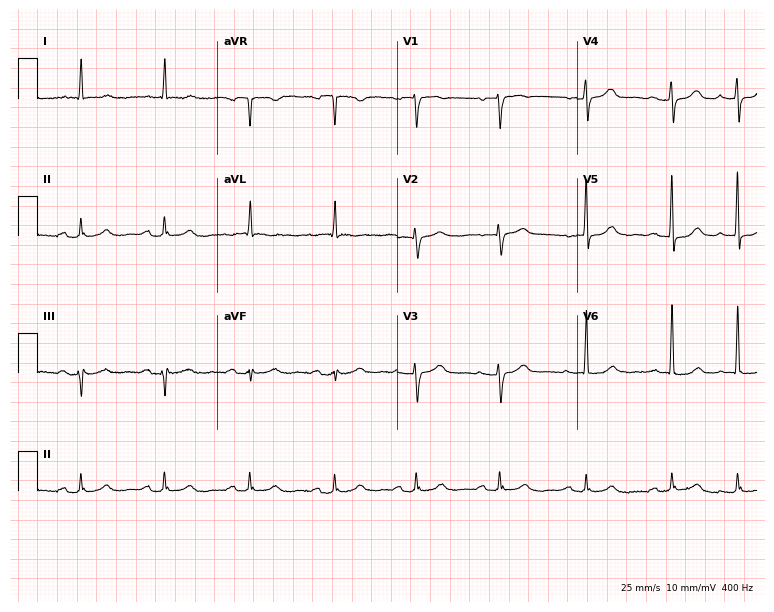
12-lead ECG (7.3-second recording at 400 Hz) from a 75-year-old female. Findings include first-degree AV block.